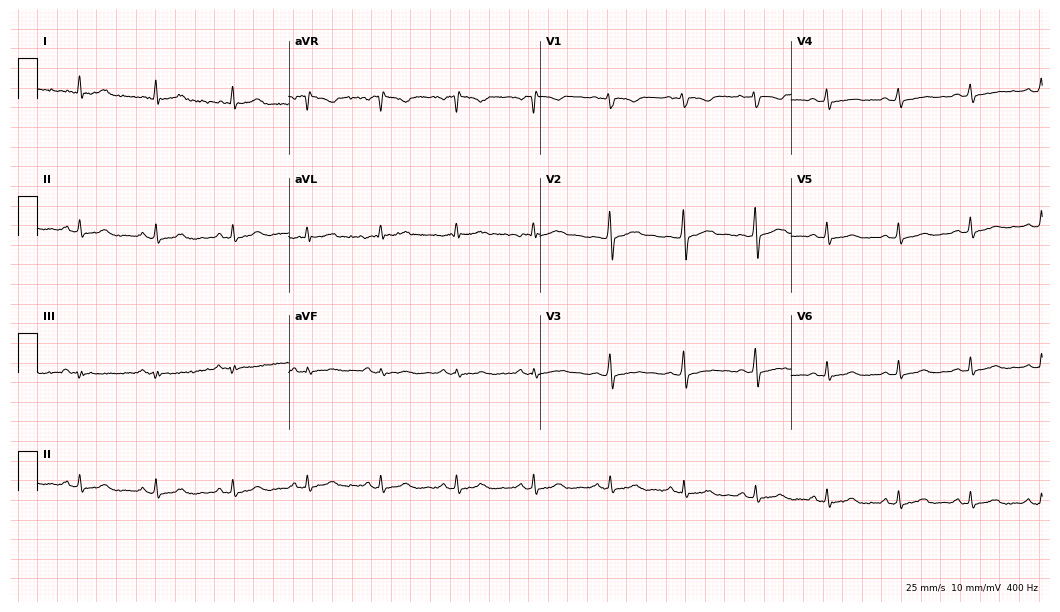
Standard 12-lead ECG recorded from a woman, 34 years old (10.2-second recording at 400 Hz). Read as a normal ECG.